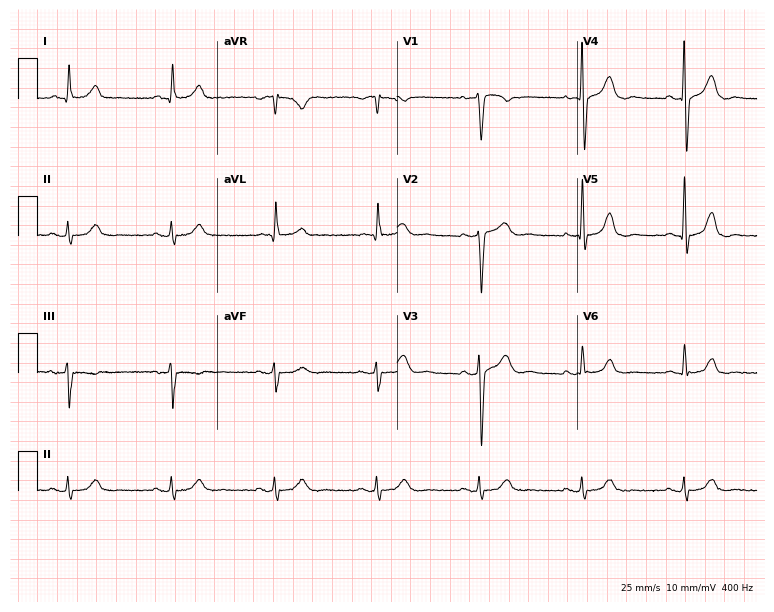
12-lead ECG from a 78-year-old man. Recorded interpretation: within normal limits.